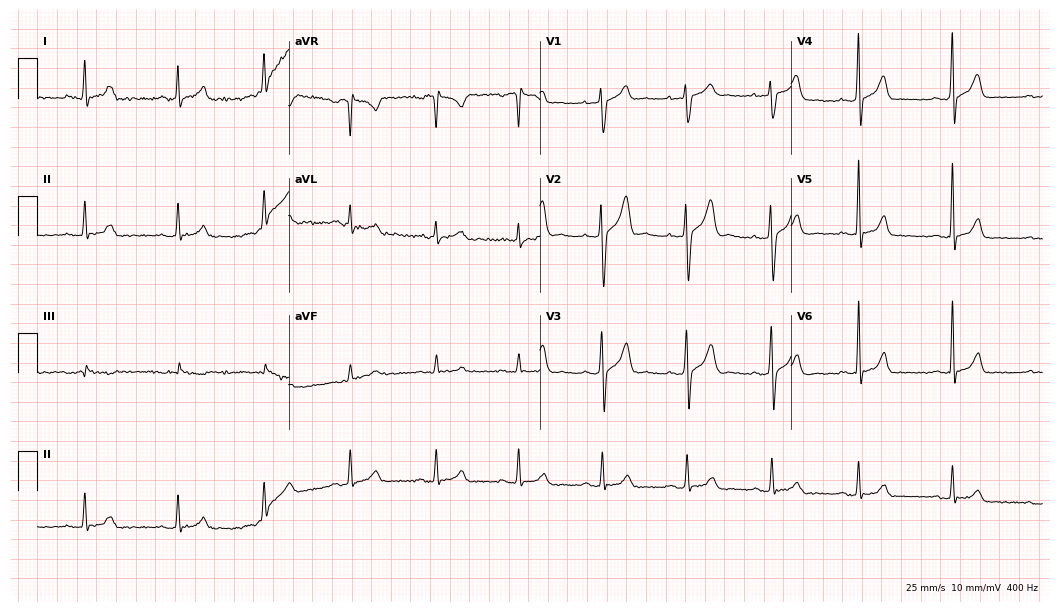
Standard 12-lead ECG recorded from a male patient, 27 years old (10.2-second recording at 400 Hz). Read as a normal ECG.